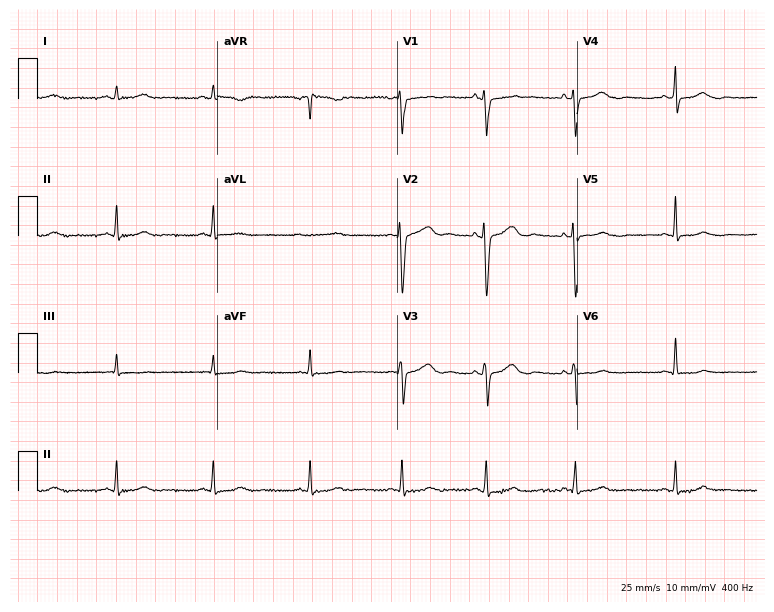
12-lead ECG from a female, 26 years old. Screened for six findings — first-degree AV block, right bundle branch block, left bundle branch block, sinus bradycardia, atrial fibrillation, sinus tachycardia — none is recorded.